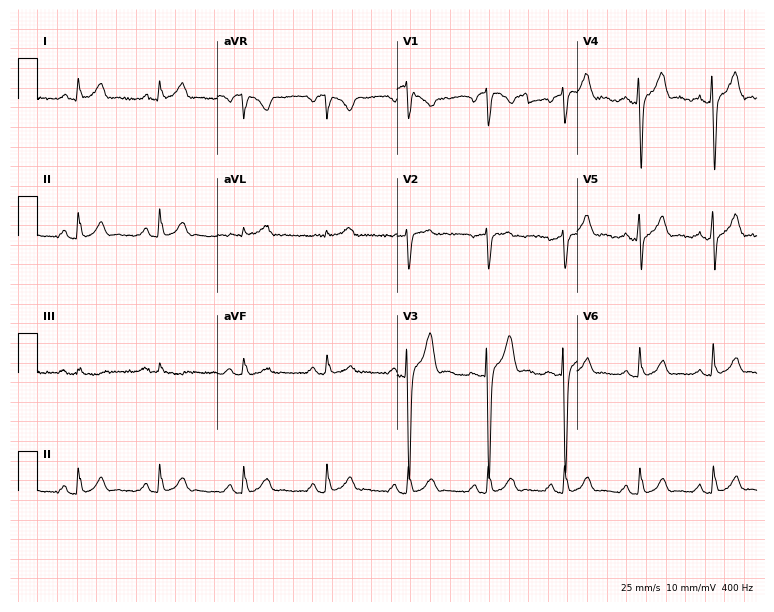
Standard 12-lead ECG recorded from a male, 40 years old. None of these six findings is recorded: first-degree AV block, right bundle branch block, left bundle branch block, sinus bradycardia, atrial fibrillation, sinus tachycardia. Findings outside these six are not listed.